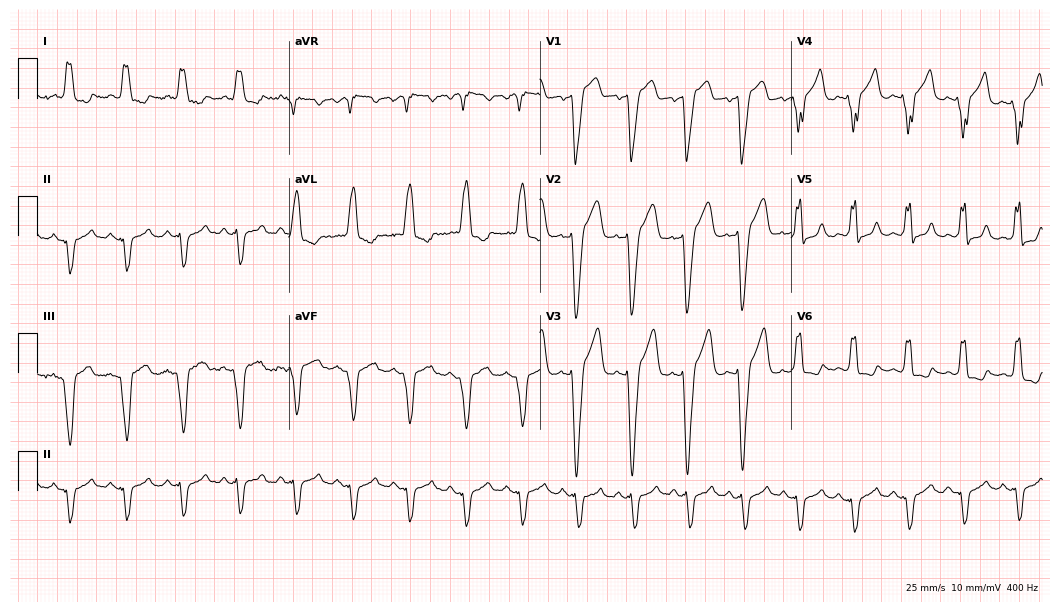
ECG — a 76-year-old male. Findings include left bundle branch block, sinus tachycardia (a sinus rate of 100 beats per minute or more).